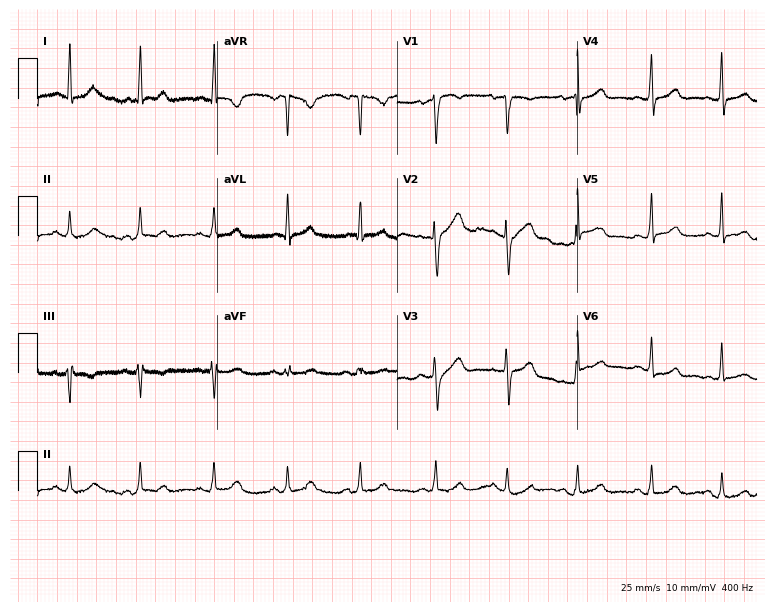
12-lead ECG from a woman, 49 years old. Labelled as a normal ECG.